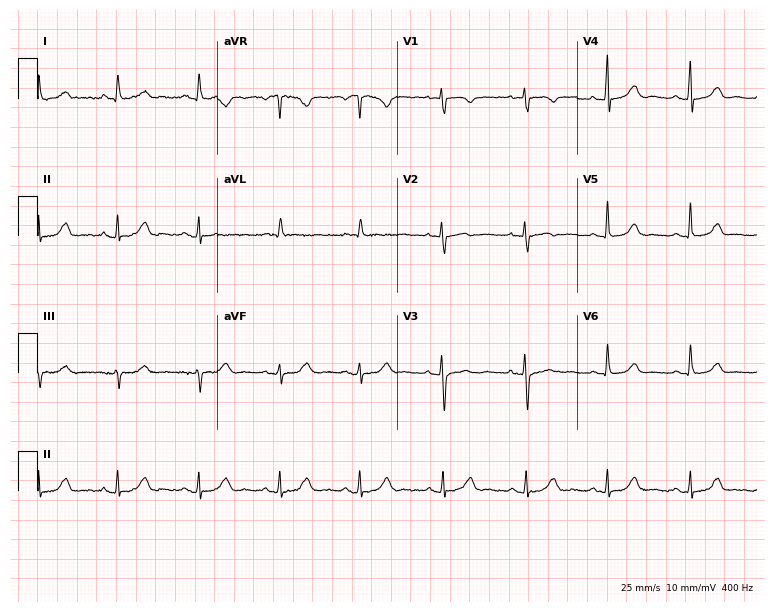
Standard 12-lead ECG recorded from a 64-year-old woman. Read as a normal ECG.